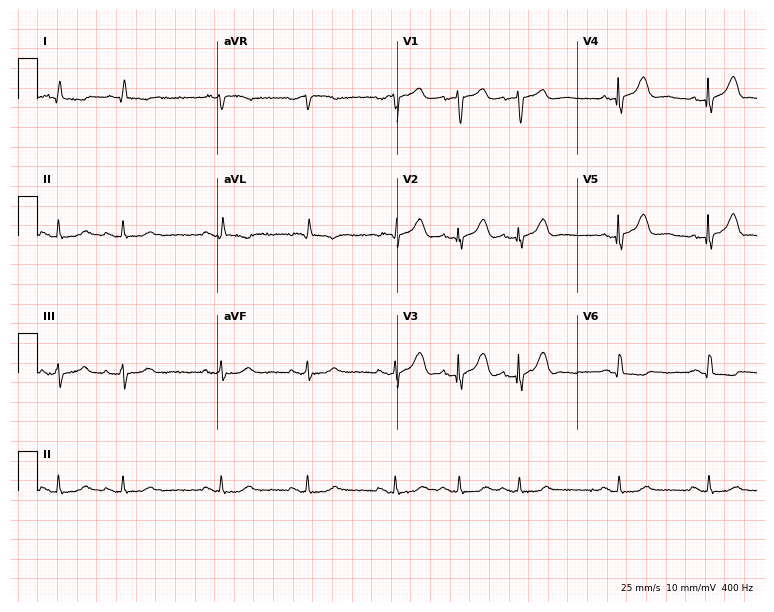
Resting 12-lead electrocardiogram (7.3-second recording at 400 Hz). Patient: a 78-year-old male. None of these six findings is recorded: first-degree AV block, right bundle branch block, left bundle branch block, sinus bradycardia, atrial fibrillation, sinus tachycardia. Findings outside these six are not listed.